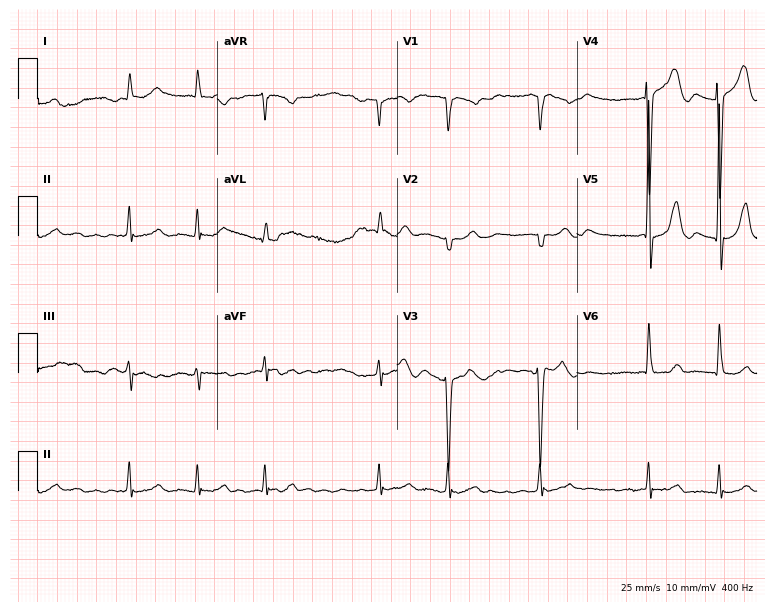
Standard 12-lead ECG recorded from a female patient, 81 years old. The tracing shows atrial fibrillation.